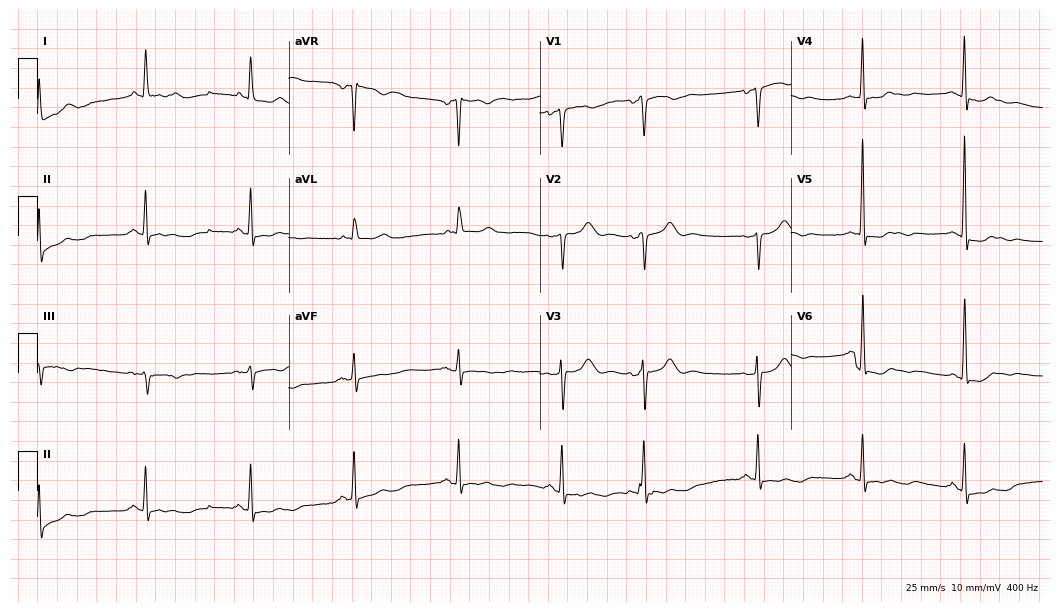
Resting 12-lead electrocardiogram. Patient: a female, 39 years old. None of these six findings is recorded: first-degree AV block, right bundle branch block, left bundle branch block, sinus bradycardia, atrial fibrillation, sinus tachycardia.